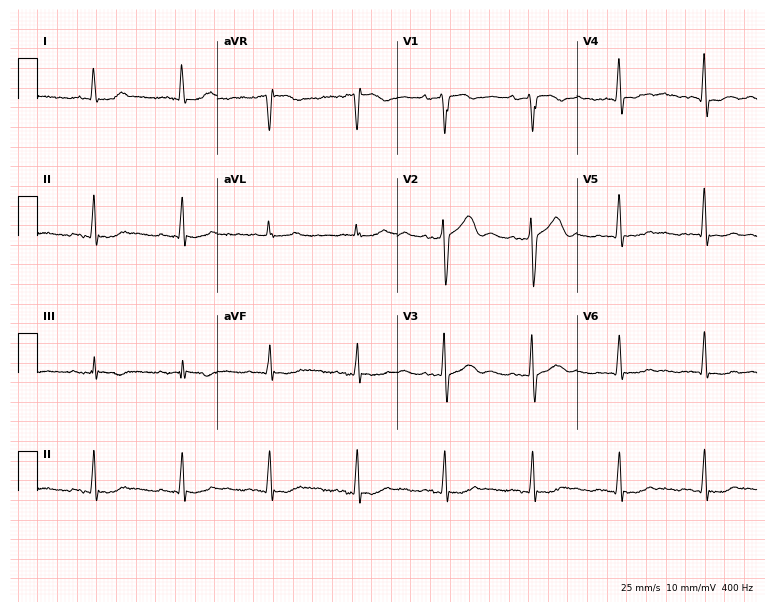
12-lead ECG (7.3-second recording at 400 Hz) from a male patient, 76 years old. Screened for six findings — first-degree AV block, right bundle branch block, left bundle branch block, sinus bradycardia, atrial fibrillation, sinus tachycardia — none is recorded. Only these six findings were labelled.